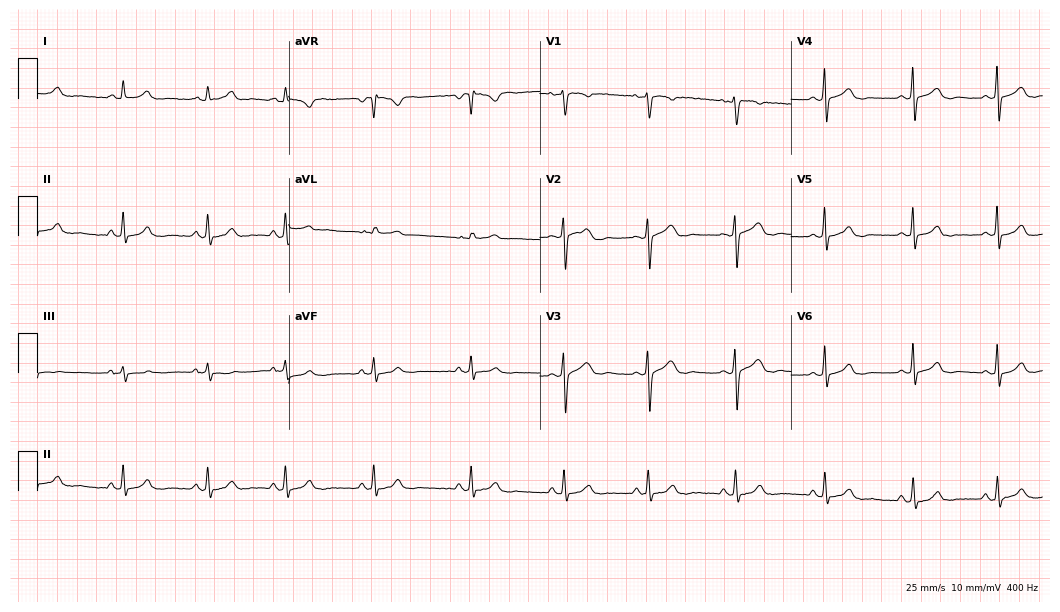
Standard 12-lead ECG recorded from a 21-year-old female (10.2-second recording at 400 Hz). None of these six findings is recorded: first-degree AV block, right bundle branch block, left bundle branch block, sinus bradycardia, atrial fibrillation, sinus tachycardia. Findings outside these six are not listed.